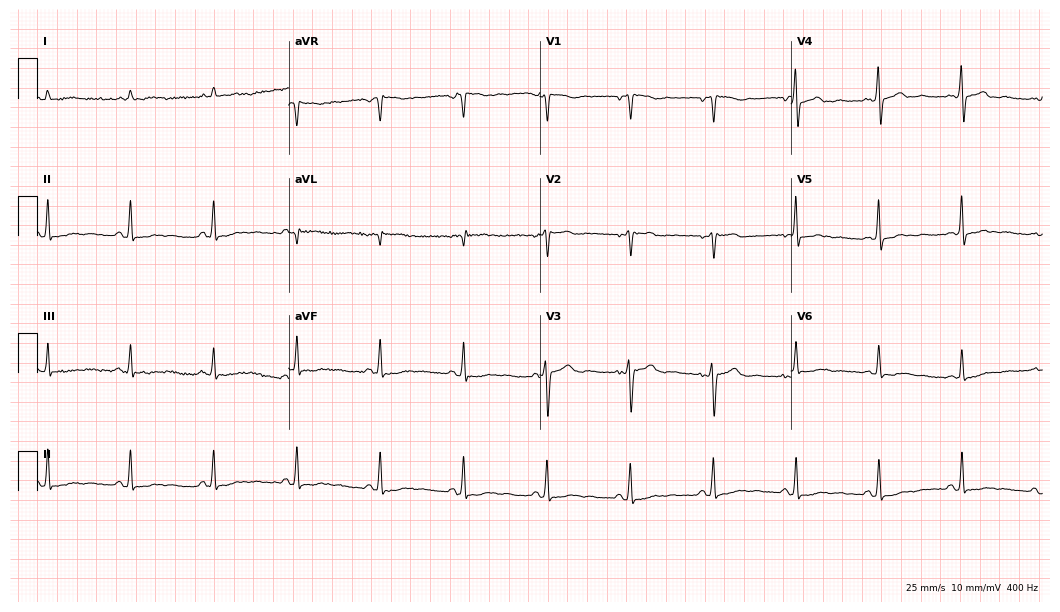
Resting 12-lead electrocardiogram (10.2-second recording at 400 Hz). Patient: a male, 56 years old. Read as a normal ECG.